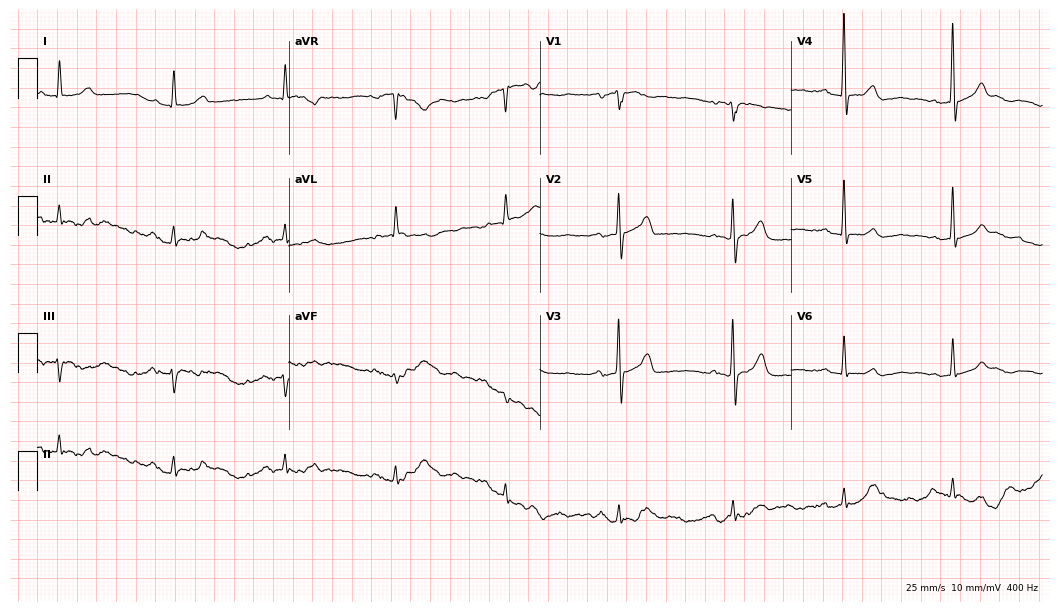
Electrocardiogram (10.2-second recording at 400 Hz), a male, 75 years old. Overall reading on record: normal ECG.